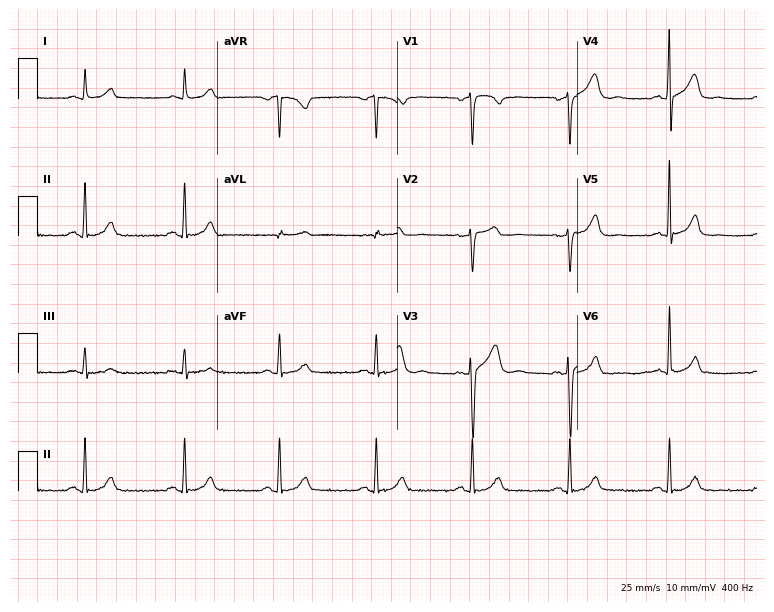
12-lead ECG from a male patient, 41 years old. Recorded interpretation: within normal limits.